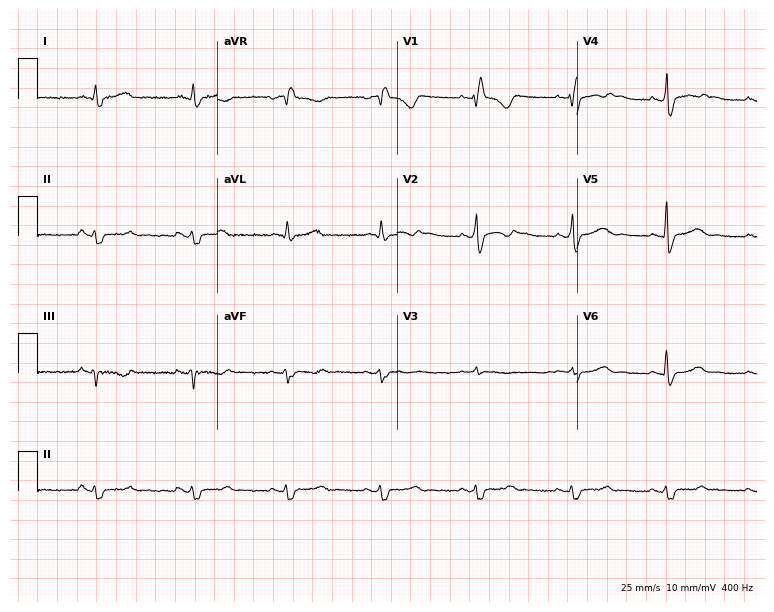
Standard 12-lead ECG recorded from a female, 48 years old. The tracing shows right bundle branch block.